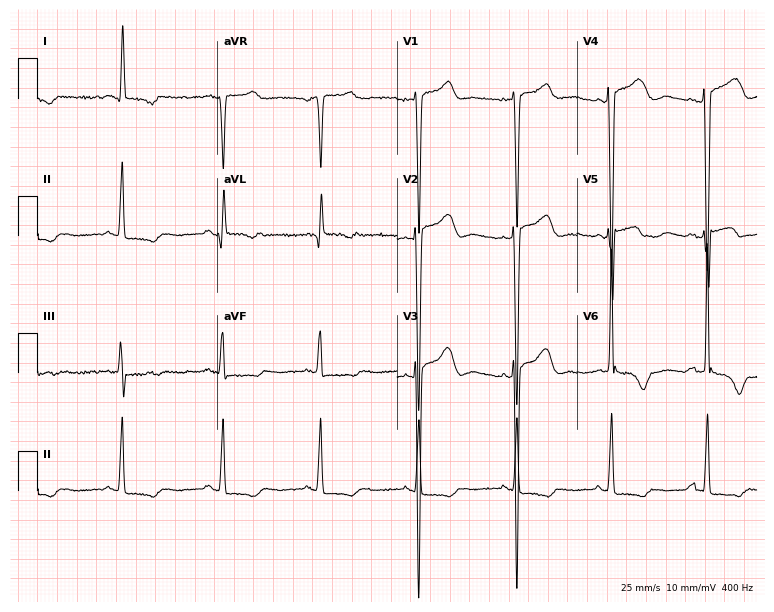
12-lead ECG (7.3-second recording at 400 Hz) from a 77-year-old female. Labelled as a normal ECG.